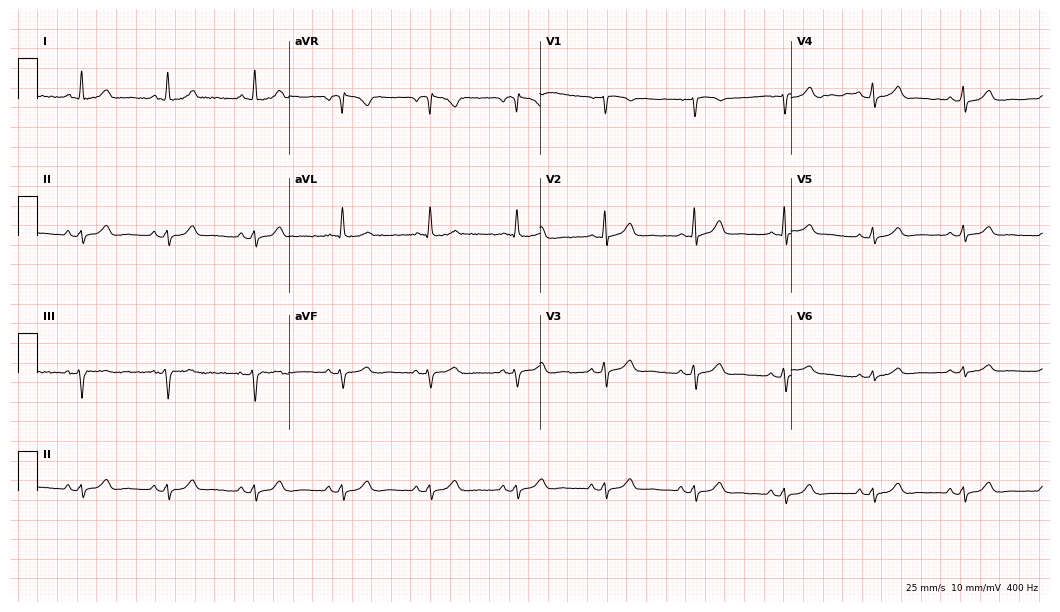
12-lead ECG from a 65-year-old woman. Screened for six findings — first-degree AV block, right bundle branch block, left bundle branch block, sinus bradycardia, atrial fibrillation, sinus tachycardia — none is recorded. Only these six findings were labelled.